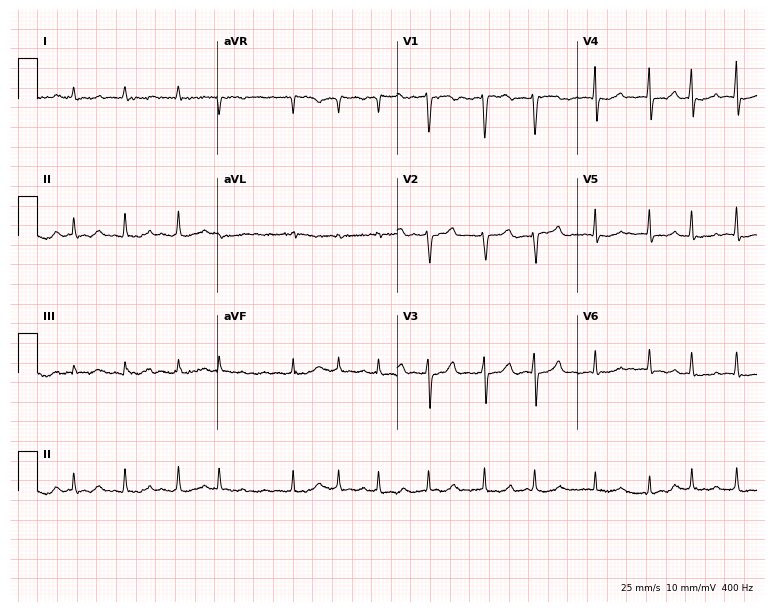
12-lead ECG from an 81-year-old female. Shows atrial fibrillation.